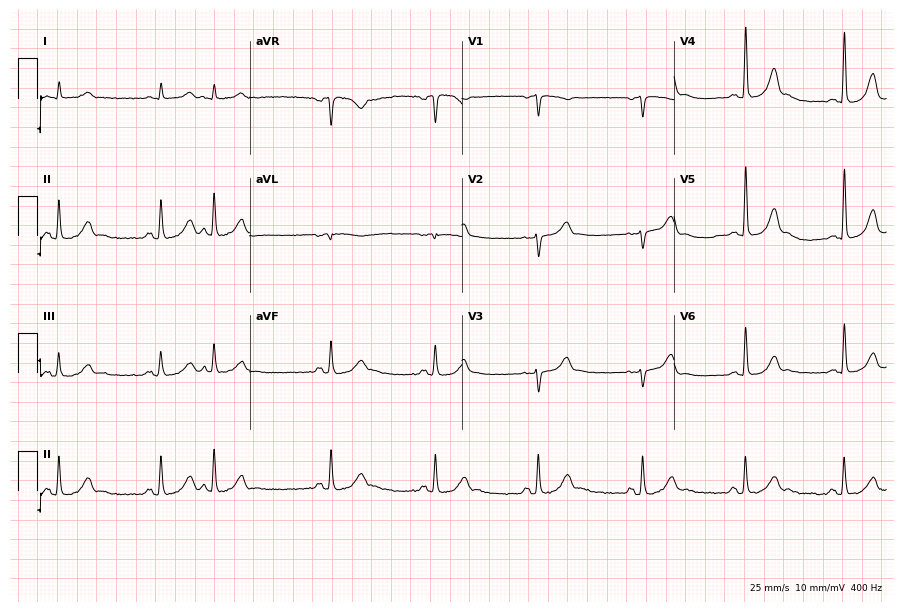
Electrocardiogram, a 71-year-old male patient. Of the six screened findings (first-degree AV block, right bundle branch block, left bundle branch block, sinus bradycardia, atrial fibrillation, sinus tachycardia), none is recorded.